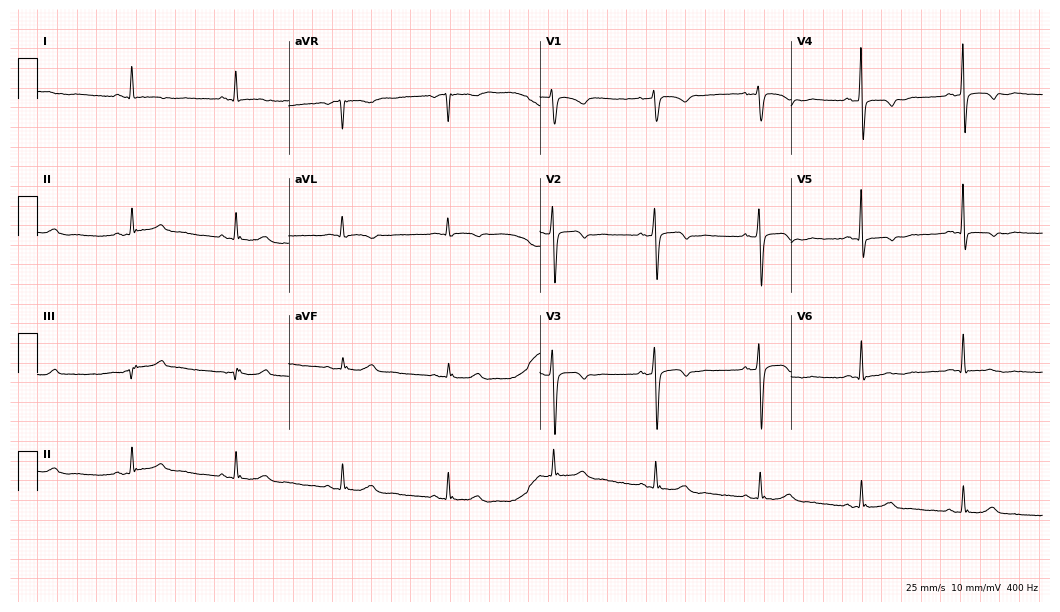
12-lead ECG from a woman, 61 years old (10.2-second recording at 400 Hz). No first-degree AV block, right bundle branch block (RBBB), left bundle branch block (LBBB), sinus bradycardia, atrial fibrillation (AF) or sinus tachycardia recorded for this tracing. Other findings, if any, are not listed.